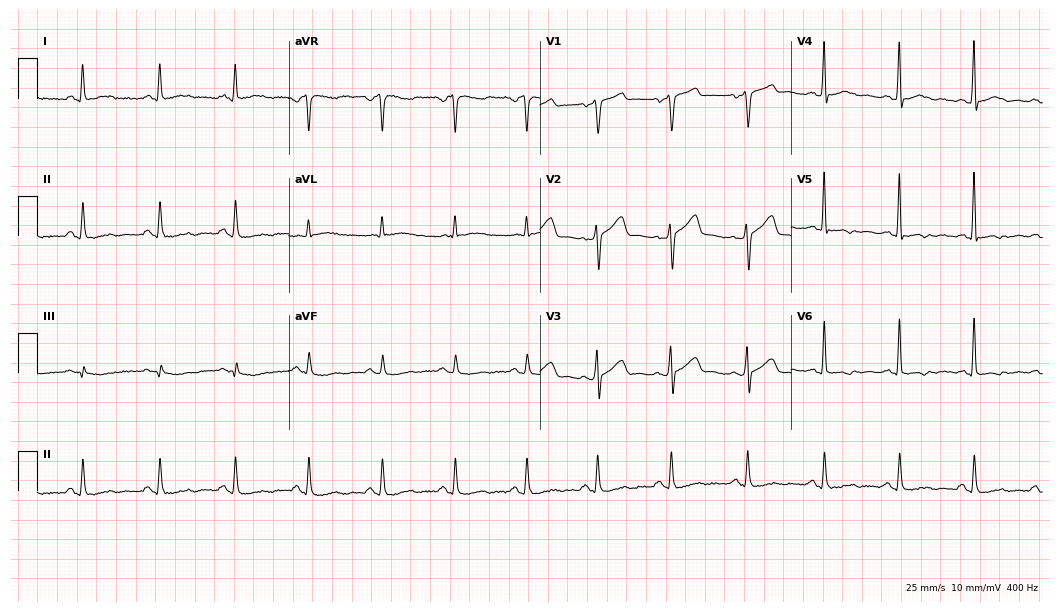
ECG (10.2-second recording at 400 Hz) — a male, 53 years old. Screened for six findings — first-degree AV block, right bundle branch block (RBBB), left bundle branch block (LBBB), sinus bradycardia, atrial fibrillation (AF), sinus tachycardia — none is recorded.